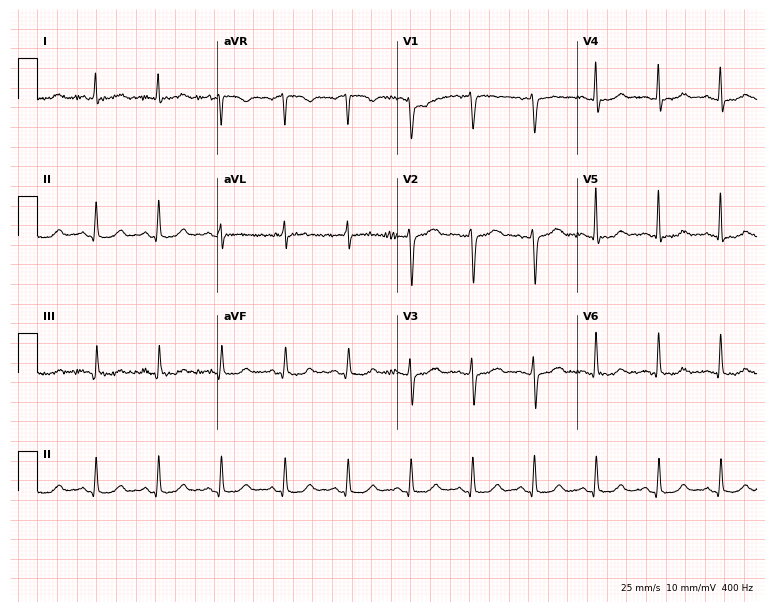
Standard 12-lead ECG recorded from a female, 48 years old. Read as a normal ECG.